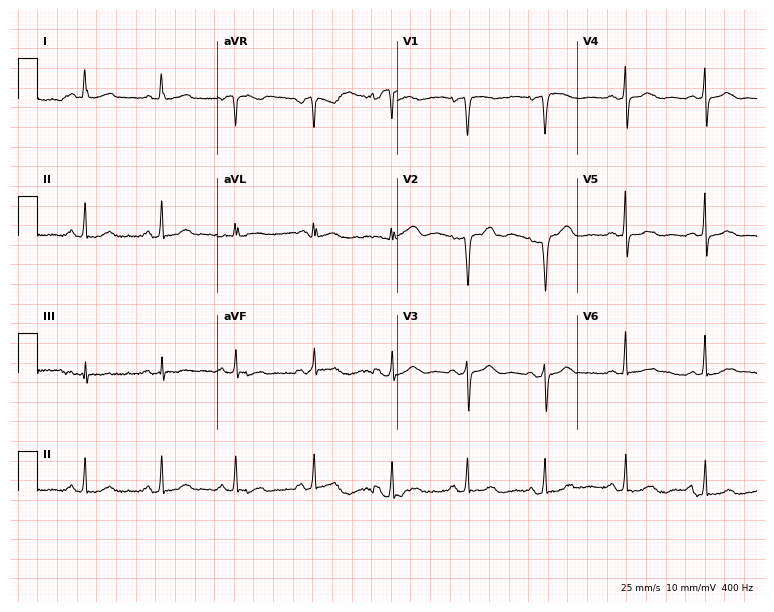
12-lead ECG from a 68-year-old female (7.3-second recording at 400 Hz). No first-degree AV block, right bundle branch block, left bundle branch block, sinus bradycardia, atrial fibrillation or sinus tachycardia recorded for this tracing. Only these six findings were labelled.